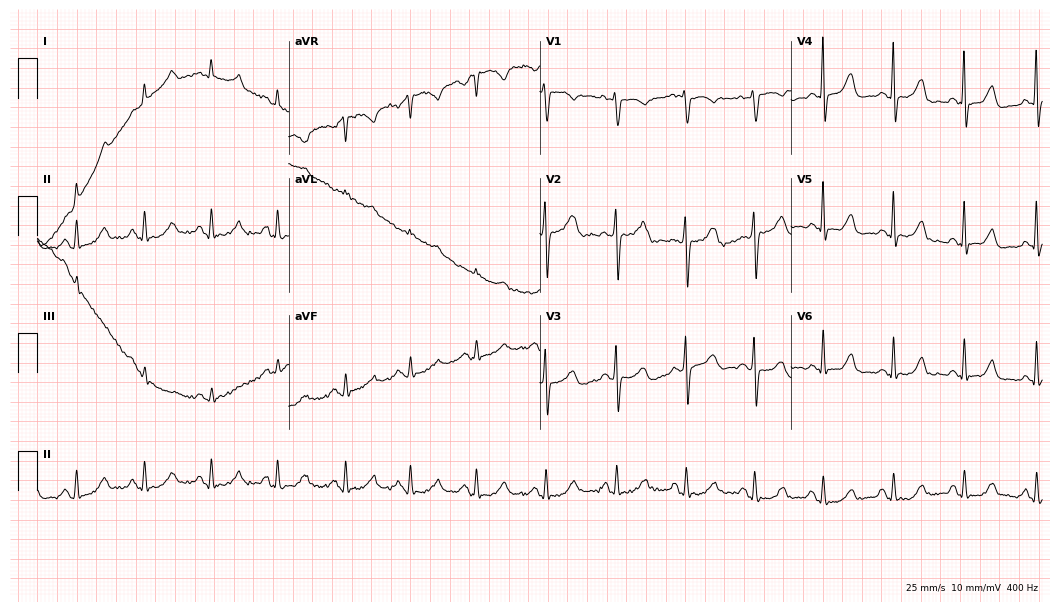
12-lead ECG from a 46-year-old woman (10.2-second recording at 400 Hz). Recorded interpretation: within normal limits.